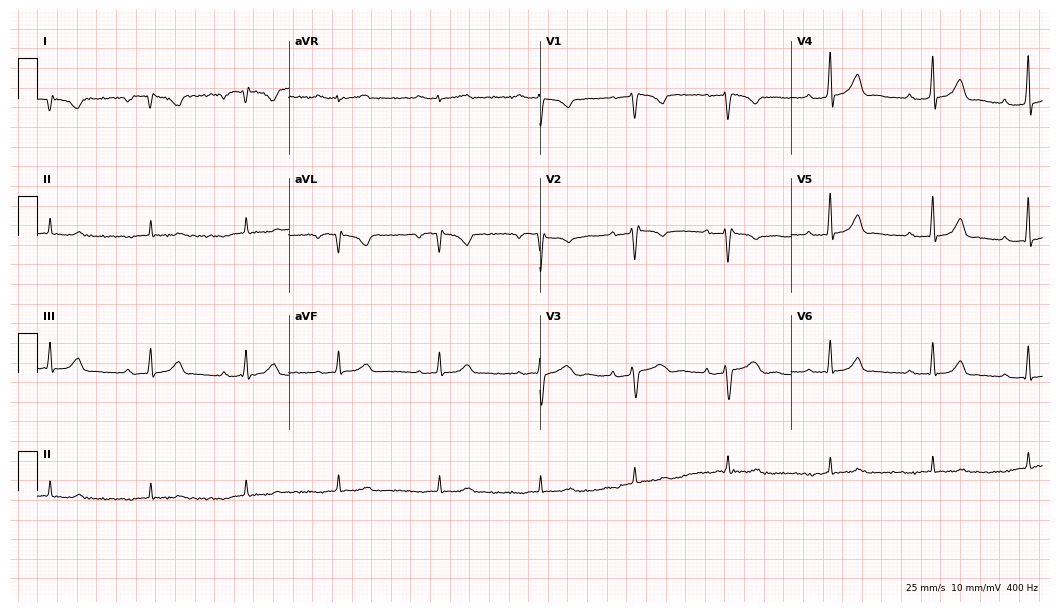
ECG (10.2-second recording at 400 Hz) — a female patient, 31 years old. Screened for six findings — first-degree AV block, right bundle branch block, left bundle branch block, sinus bradycardia, atrial fibrillation, sinus tachycardia — none is recorded.